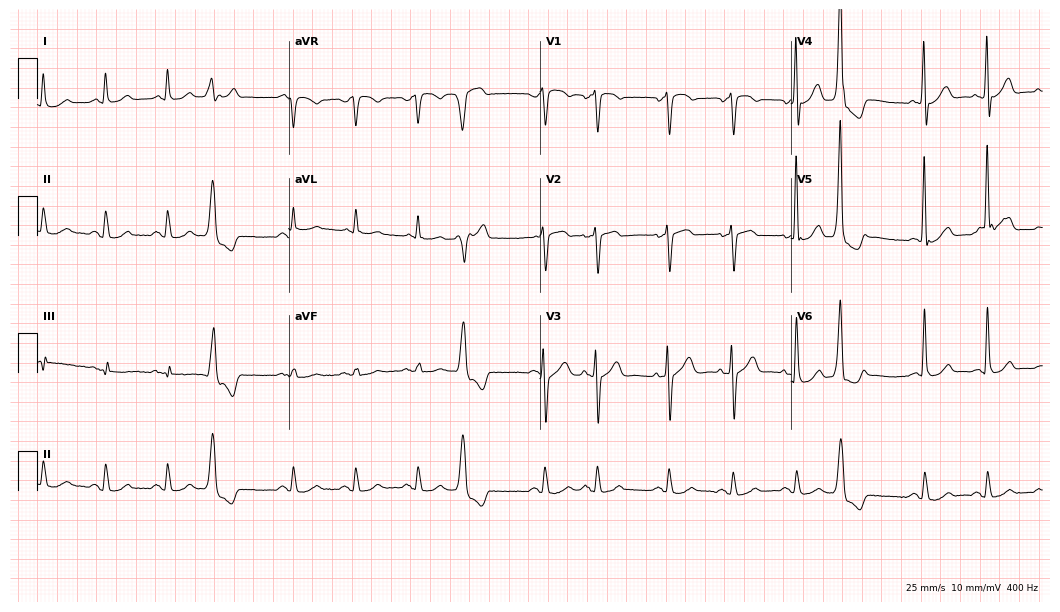
12-lead ECG (10.2-second recording at 400 Hz) from a man, 81 years old. Screened for six findings — first-degree AV block, right bundle branch block, left bundle branch block, sinus bradycardia, atrial fibrillation, sinus tachycardia — none is recorded. Other findings, if any, are not listed.